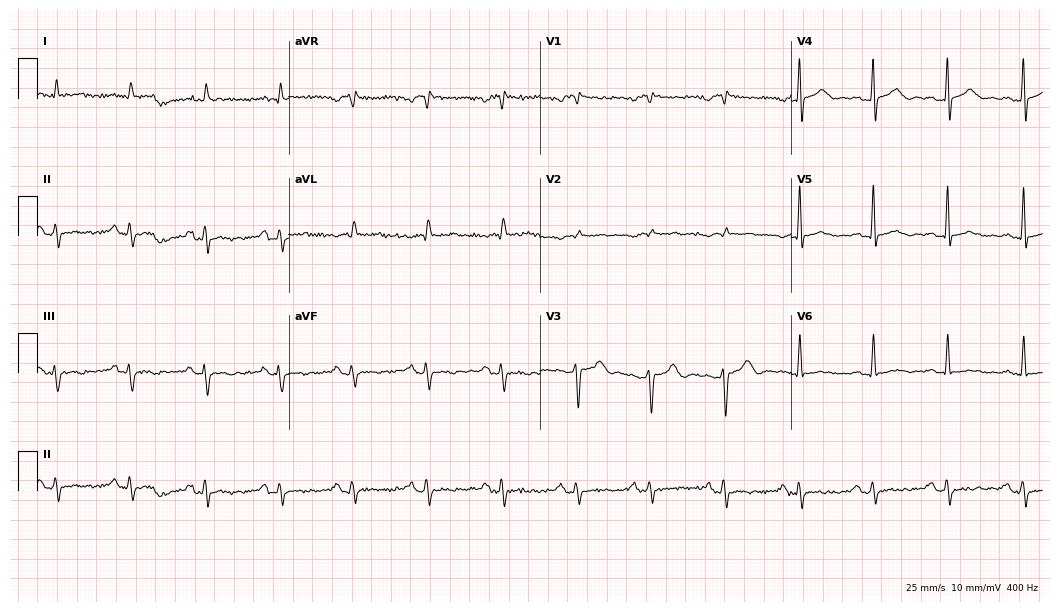
ECG — a male patient, 63 years old. Screened for six findings — first-degree AV block, right bundle branch block (RBBB), left bundle branch block (LBBB), sinus bradycardia, atrial fibrillation (AF), sinus tachycardia — none is recorded.